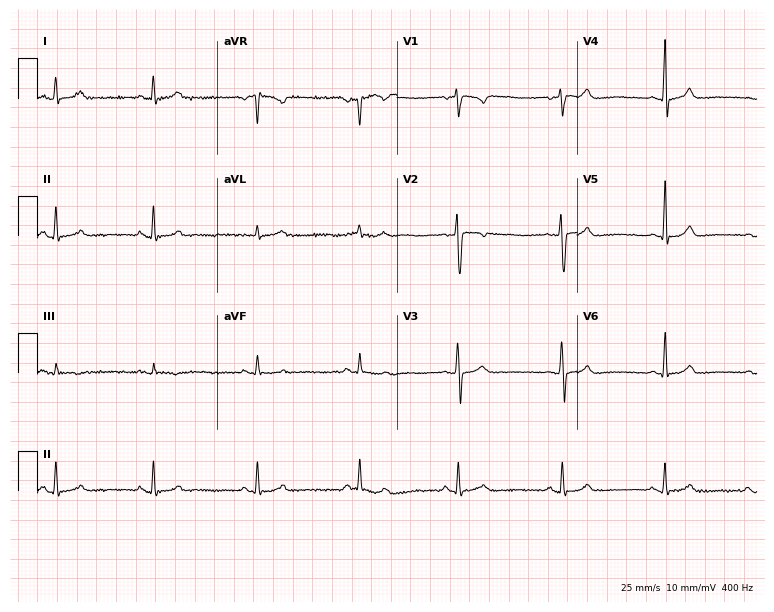
ECG — a female, 58 years old. Labelled as a normal ECG.